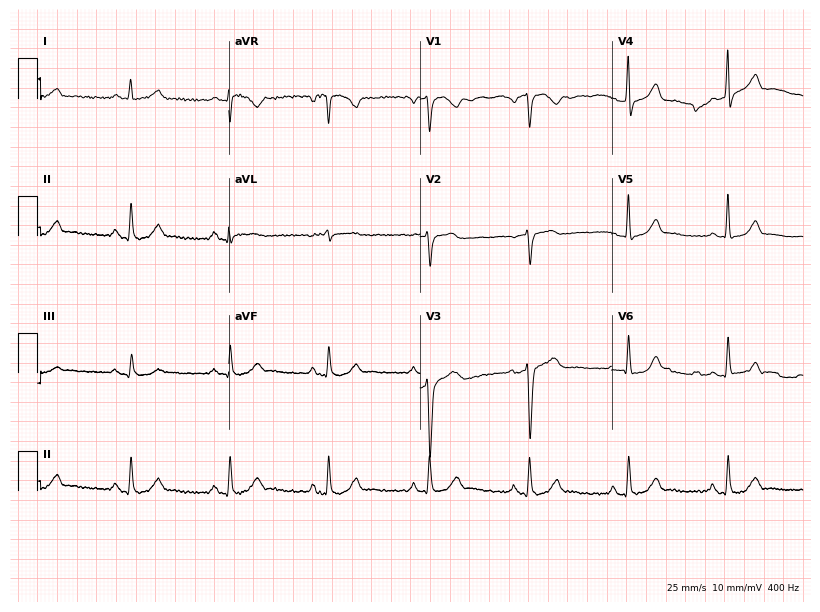
Resting 12-lead electrocardiogram. Patient: a male, 55 years old. None of these six findings is recorded: first-degree AV block, right bundle branch block, left bundle branch block, sinus bradycardia, atrial fibrillation, sinus tachycardia.